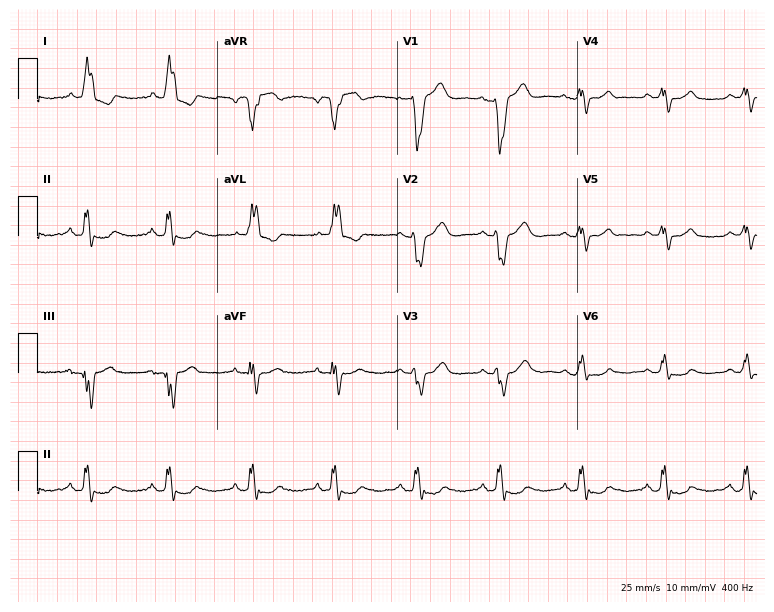
12-lead ECG from an 80-year-old female. Findings include left bundle branch block.